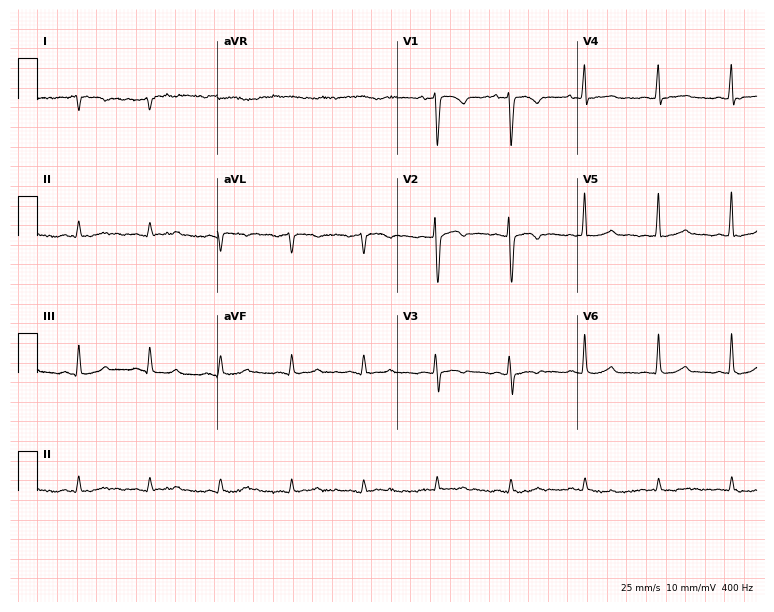
Resting 12-lead electrocardiogram (7.3-second recording at 400 Hz). Patient: a female, 52 years old. None of these six findings is recorded: first-degree AV block, right bundle branch block (RBBB), left bundle branch block (LBBB), sinus bradycardia, atrial fibrillation (AF), sinus tachycardia.